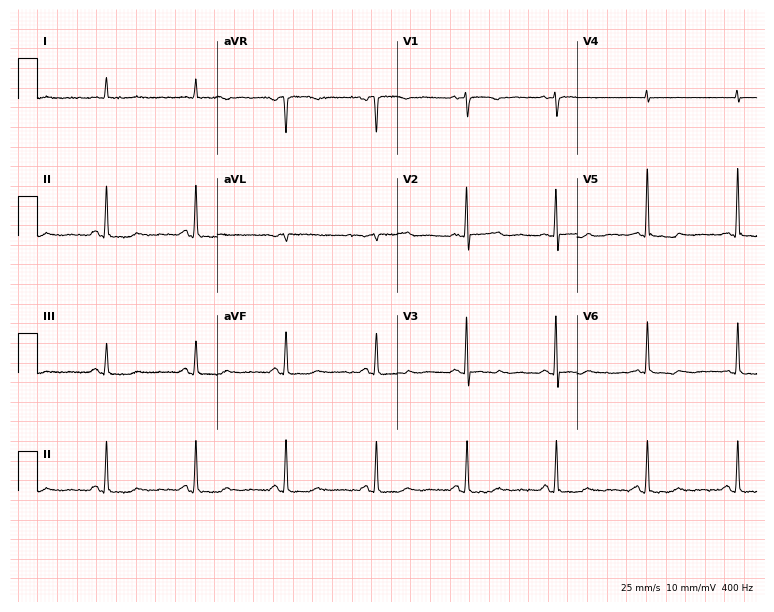
Resting 12-lead electrocardiogram (7.3-second recording at 400 Hz). Patient: a female, 70 years old. None of these six findings is recorded: first-degree AV block, right bundle branch block, left bundle branch block, sinus bradycardia, atrial fibrillation, sinus tachycardia. Findings outside these six are not listed.